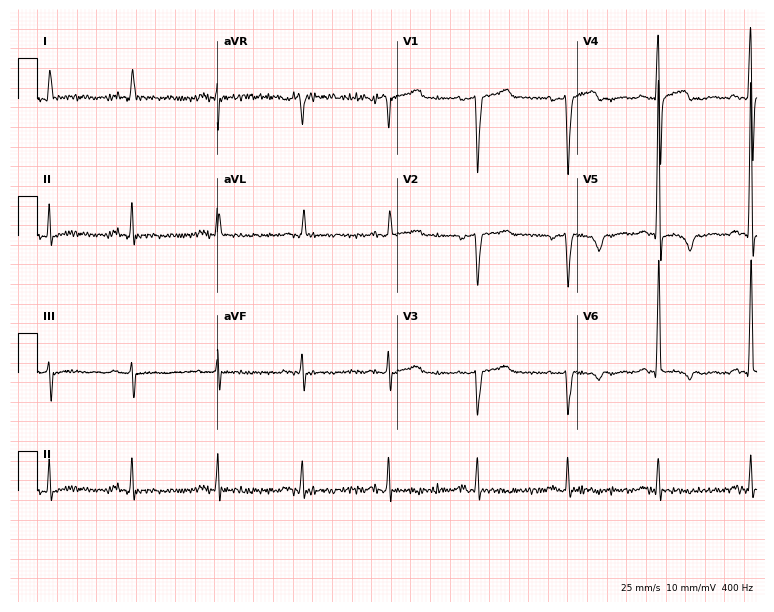
Standard 12-lead ECG recorded from a 66-year-old male patient. None of these six findings is recorded: first-degree AV block, right bundle branch block (RBBB), left bundle branch block (LBBB), sinus bradycardia, atrial fibrillation (AF), sinus tachycardia. Only these six findings were labelled.